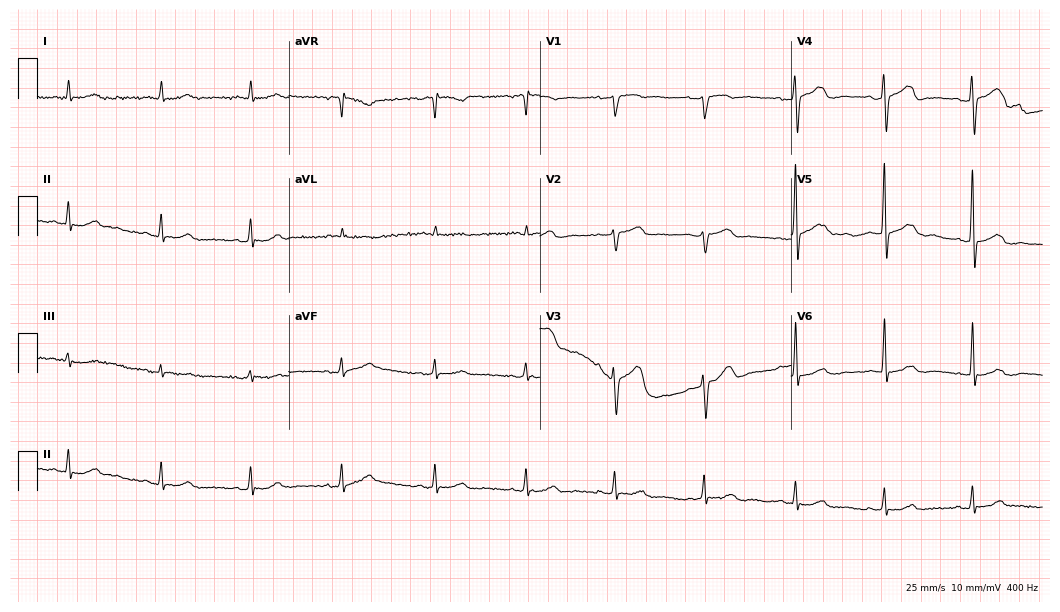
Resting 12-lead electrocardiogram (10.2-second recording at 400 Hz). Patient: a male, 72 years old. Read as a normal ECG.